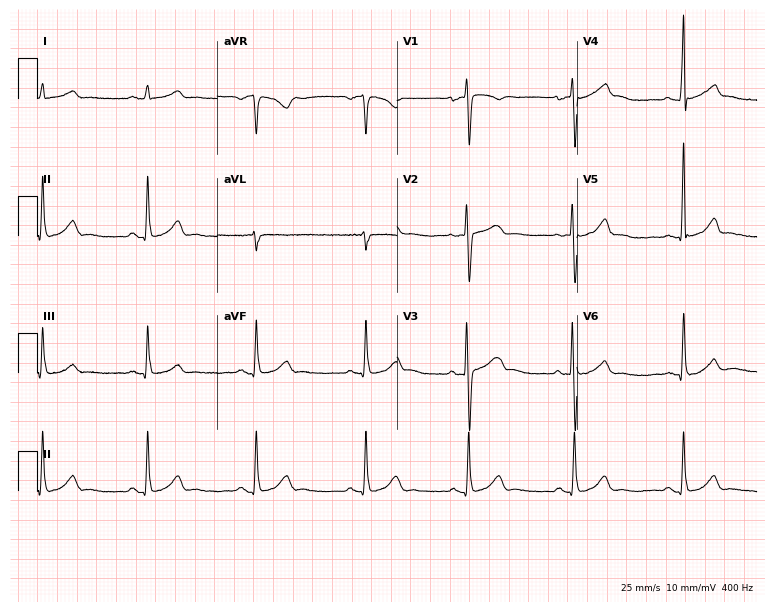
ECG (7.3-second recording at 400 Hz) — a 39-year-old female patient. Screened for six findings — first-degree AV block, right bundle branch block, left bundle branch block, sinus bradycardia, atrial fibrillation, sinus tachycardia — none is recorded. Only these six findings were labelled.